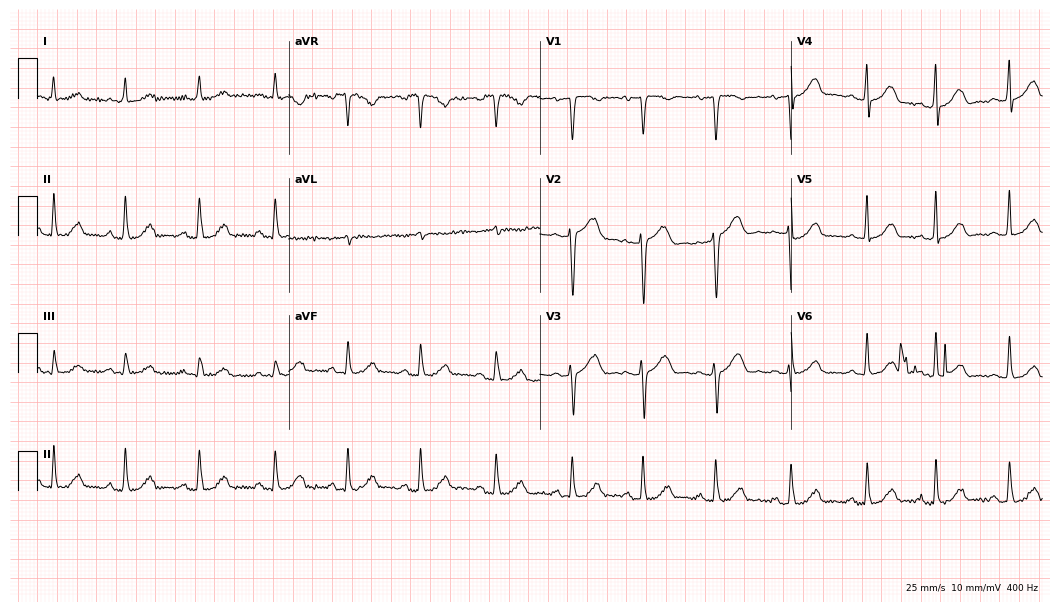
ECG (10.2-second recording at 400 Hz) — a female, 55 years old. Labelled as a normal ECG.